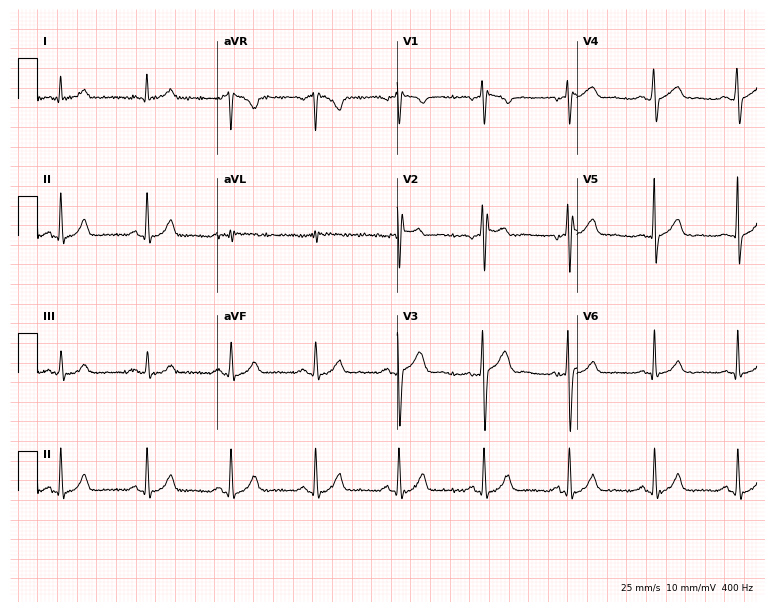
12-lead ECG (7.3-second recording at 400 Hz) from a man, 39 years old. Screened for six findings — first-degree AV block, right bundle branch block, left bundle branch block, sinus bradycardia, atrial fibrillation, sinus tachycardia — none is recorded.